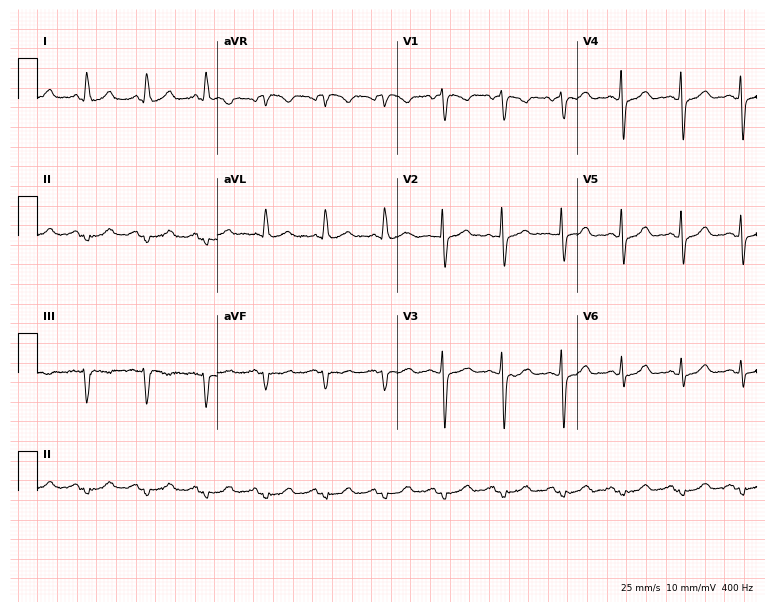
Resting 12-lead electrocardiogram (7.3-second recording at 400 Hz). Patient: an 80-year-old woman. None of these six findings is recorded: first-degree AV block, right bundle branch block, left bundle branch block, sinus bradycardia, atrial fibrillation, sinus tachycardia.